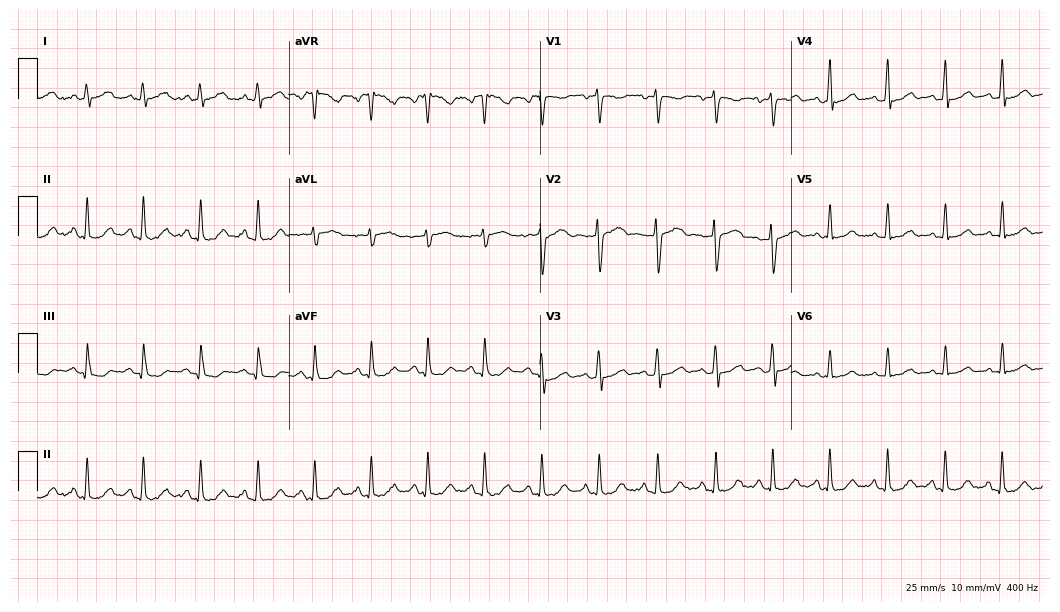
Standard 12-lead ECG recorded from a woman, 35 years old (10.2-second recording at 400 Hz). The tracing shows sinus tachycardia (a sinus rate of 100 beats per minute or more).